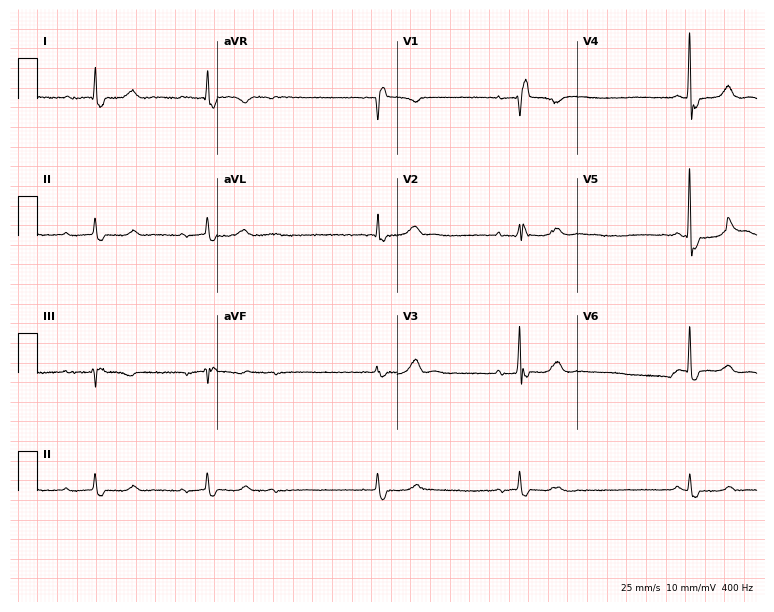
Standard 12-lead ECG recorded from a 75-year-old female (7.3-second recording at 400 Hz). None of these six findings is recorded: first-degree AV block, right bundle branch block (RBBB), left bundle branch block (LBBB), sinus bradycardia, atrial fibrillation (AF), sinus tachycardia.